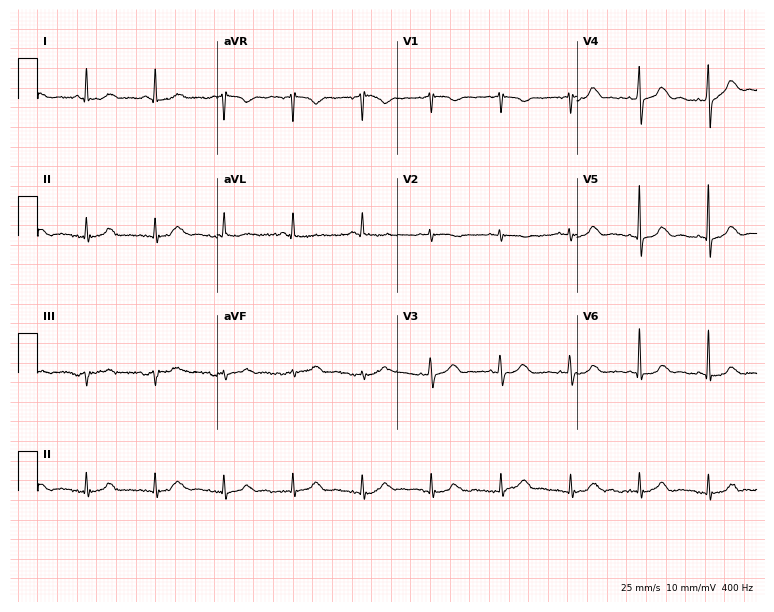
Electrocardiogram (7.3-second recording at 400 Hz), a female, 71 years old. Overall reading on record: normal ECG.